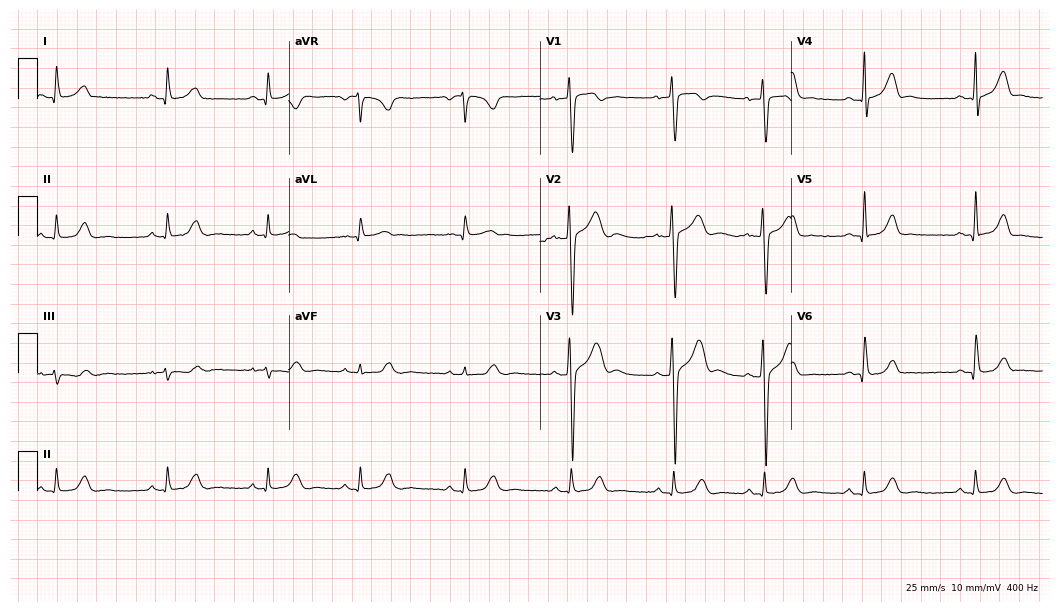
Electrocardiogram, a woman, 33 years old. Of the six screened findings (first-degree AV block, right bundle branch block (RBBB), left bundle branch block (LBBB), sinus bradycardia, atrial fibrillation (AF), sinus tachycardia), none is recorded.